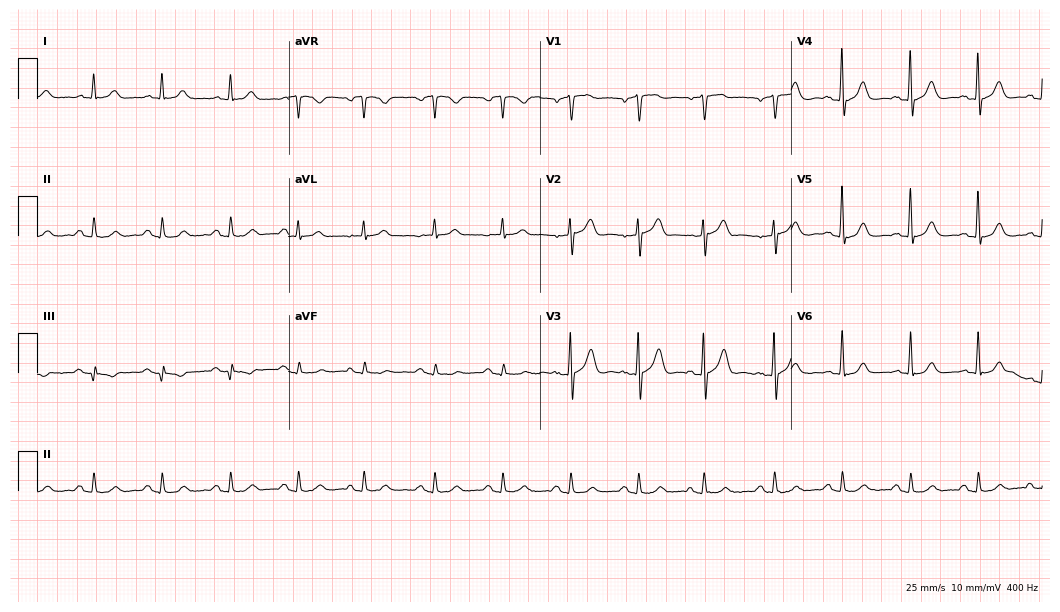
Electrocardiogram (10.2-second recording at 400 Hz), a 65-year-old man. Of the six screened findings (first-degree AV block, right bundle branch block, left bundle branch block, sinus bradycardia, atrial fibrillation, sinus tachycardia), none is recorded. Findings outside these six are not listed.